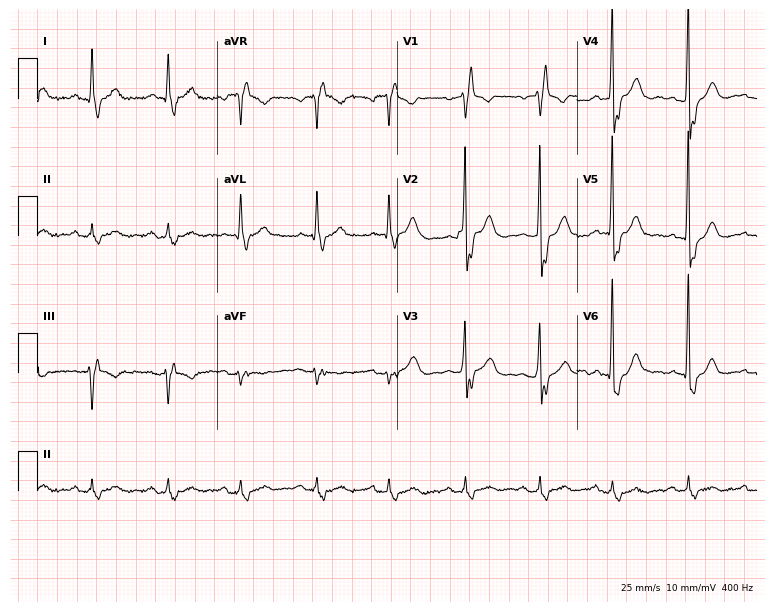
12-lead ECG (7.3-second recording at 400 Hz) from a male patient, 85 years old. Findings include right bundle branch block.